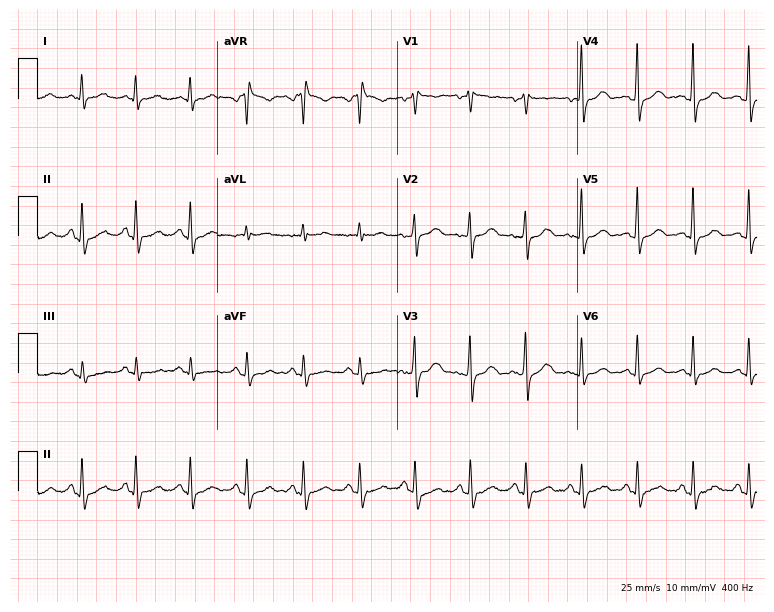
12-lead ECG from a 57-year-old woman. Shows sinus tachycardia (a sinus rate of 100 beats per minute or more).